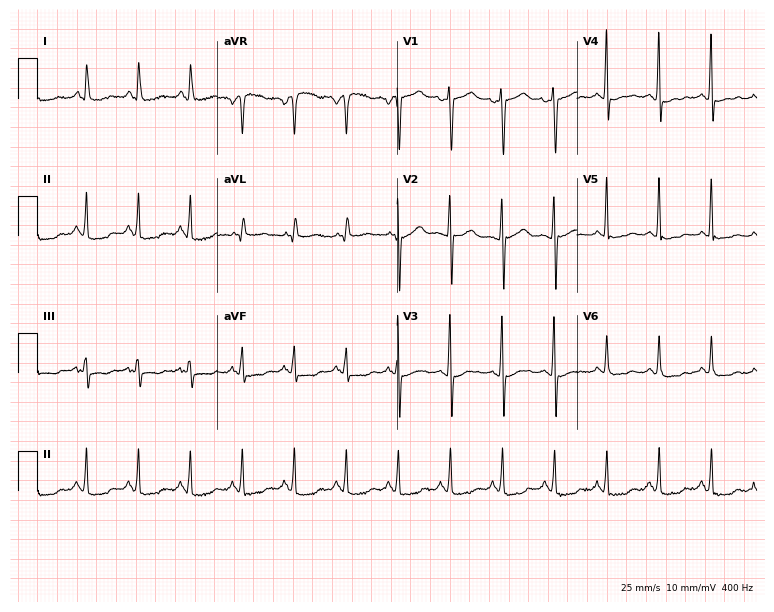
Electrocardiogram, a female, 83 years old. Interpretation includes sinus tachycardia (a sinus rate of 100 beats per minute or more).